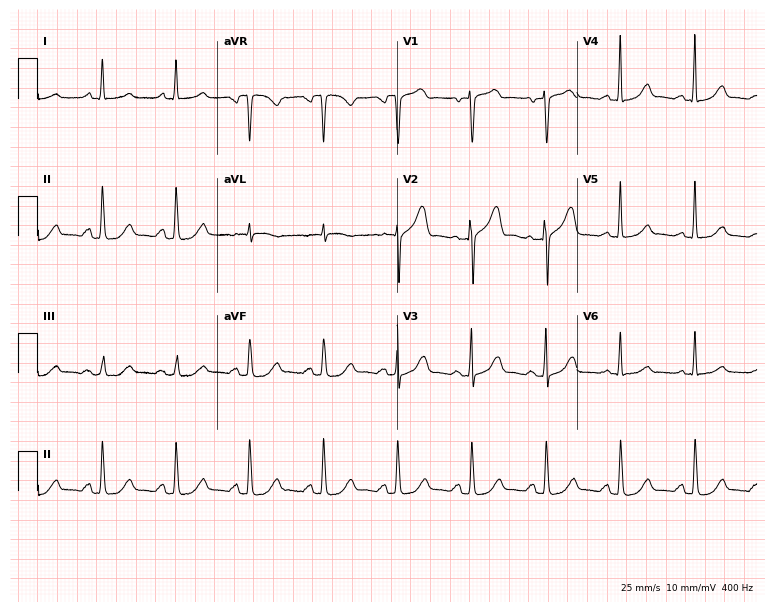
Resting 12-lead electrocardiogram. Patient: a female, 78 years old. Read as a normal ECG.